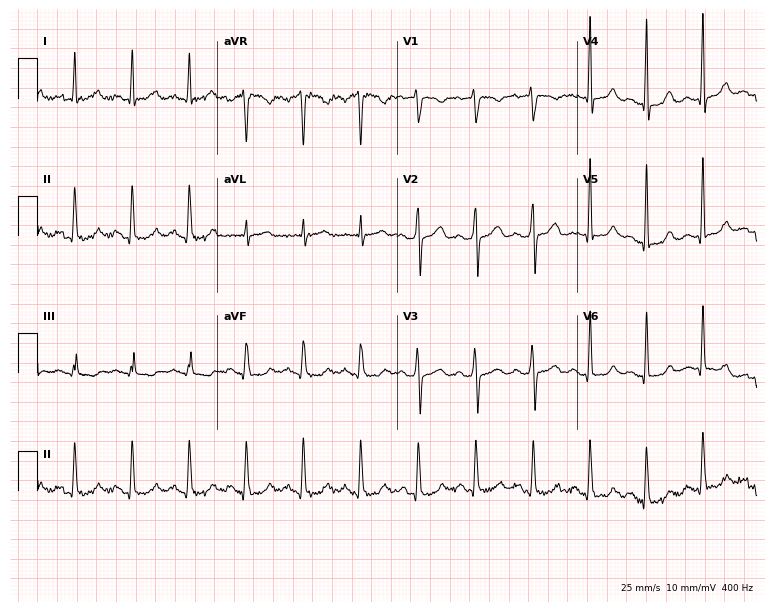
ECG (7.3-second recording at 400 Hz) — a female patient, 42 years old. Screened for six findings — first-degree AV block, right bundle branch block (RBBB), left bundle branch block (LBBB), sinus bradycardia, atrial fibrillation (AF), sinus tachycardia — none is recorded.